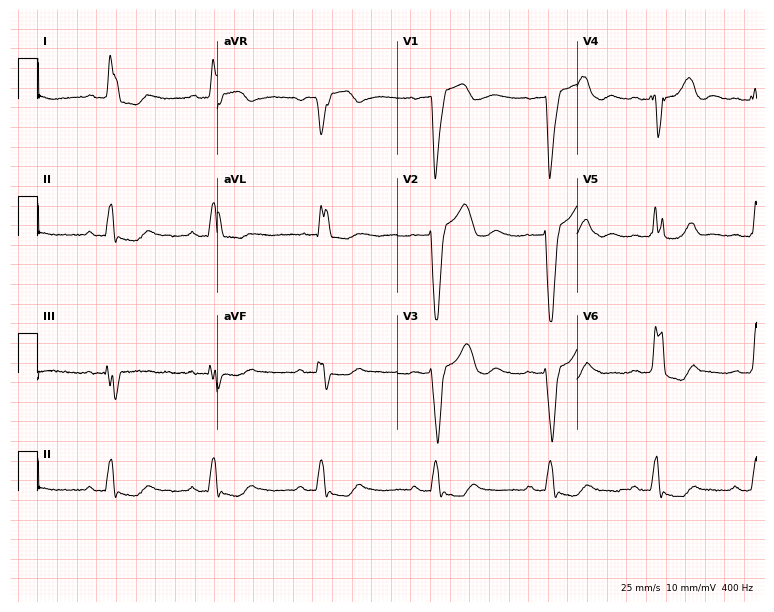
Resting 12-lead electrocardiogram (7.3-second recording at 400 Hz). Patient: a 53-year-old female. The tracing shows left bundle branch block.